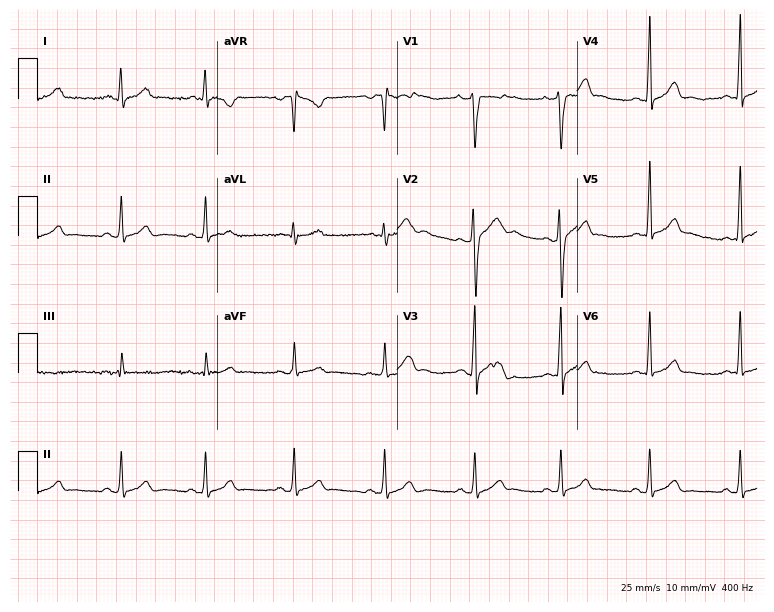
Electrocardiogram (7.3-second recording at 400 Hz), a male, 31 years old. Of the six screened findings (first-degree AV block, right bundle branch block, left bundle branch block, sinus bradycardia, atrial fibrillation, sinus tachycardia), none is recorded. Other findings, if any, are not listed.